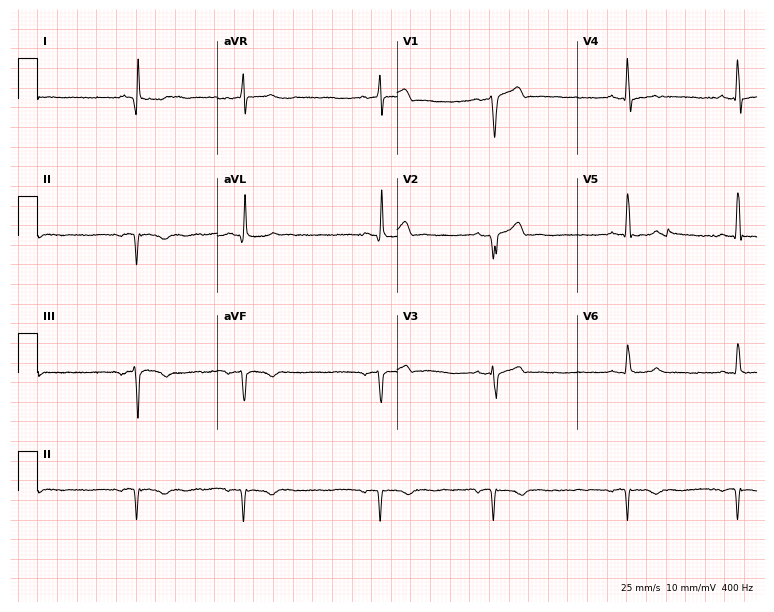
Standard 12-lead ECG recorded from a 56-year-old male (7.3-second recording at 400 Hz). None of these six findings is recorded: first-degree AV block, right bundle branch block, left bundle branch block, sinus bradycardia, atrial fibrillation, sinus tachycardia. Other findings, if any, are not listed.